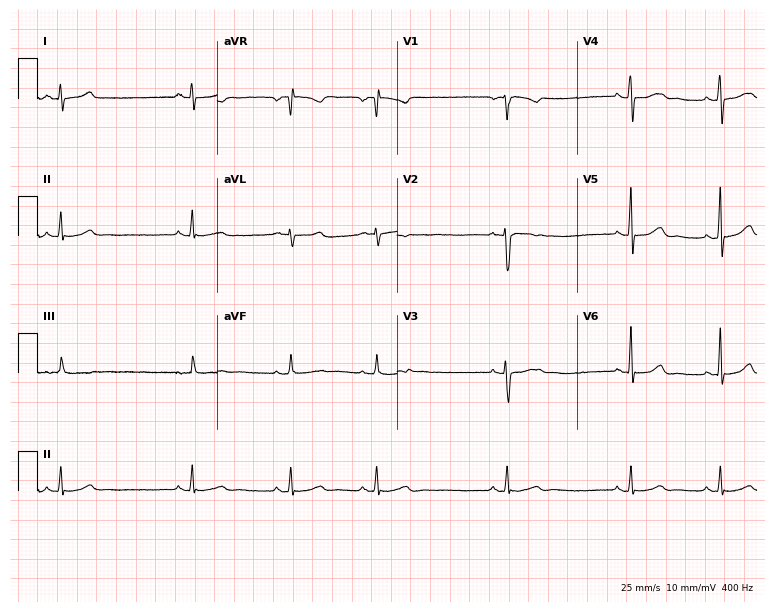
12-lead ECG from a female, 18 years old. Labelled as a normal ECG.